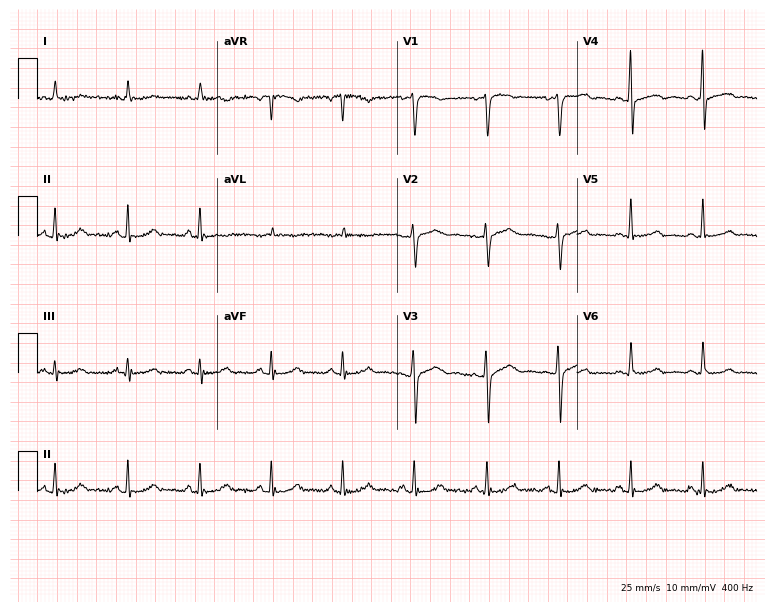
ECG (7.3-second recording at 400 Hz) — a 48-year-old female. Screened for six findings — first-degree AV block, right bundle branch block (RBBB), left bundle branch block (LBBB), sinus bradycardia, atrial fibrillation (AF), sinus tachycardia — none is recorded. Other findings, if any, are not listed.